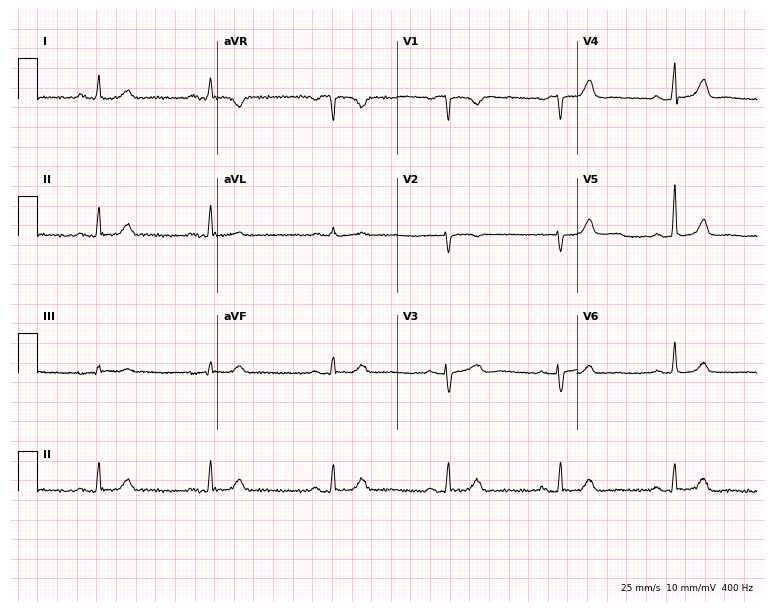
Resting 12-lead electrocardiogram. Patient: a female, 48 years old. None of these six findings is recorded: first-degree AV block, right bundle branch block, left bundle branch block, sinus bradycardia, atrial fibrillation, sinus tachycardia.